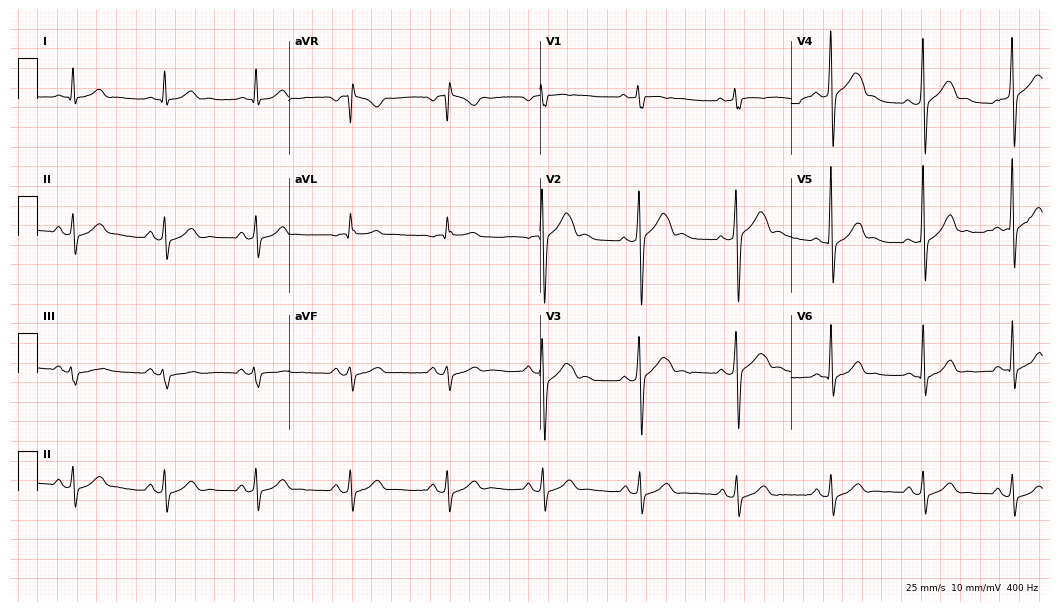
12-lead ECG (10.2-second recording at 400 Hz) from a woman, 82 years old. Labelled as a normal ECG.